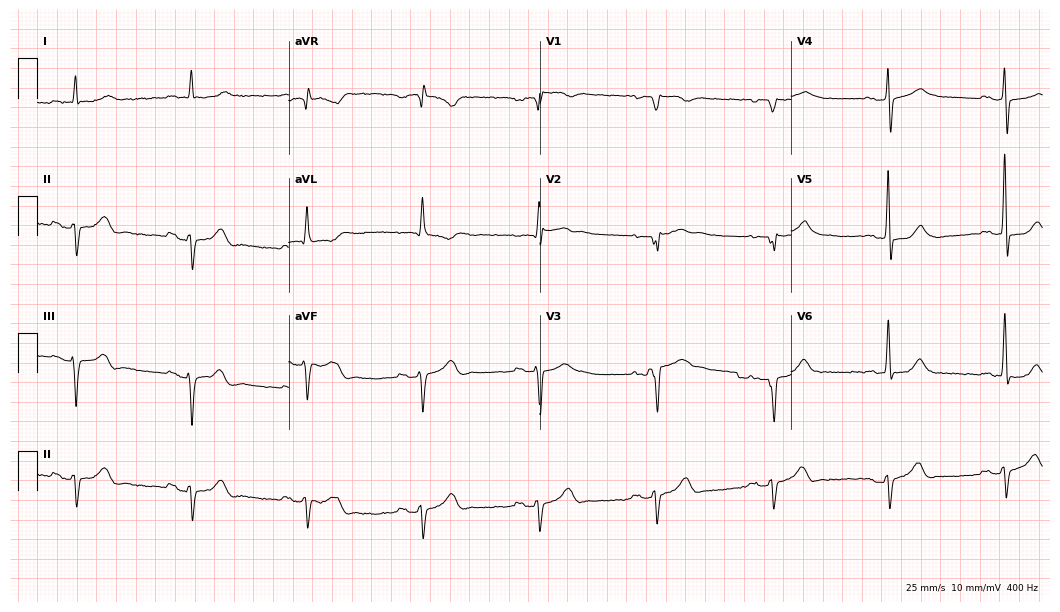
Resting 12-lead electrocardiogram. Patient: a man, 70 years old. The tracing shows sinus bradycardia (a sinus rate of 50 beats per minute or less).